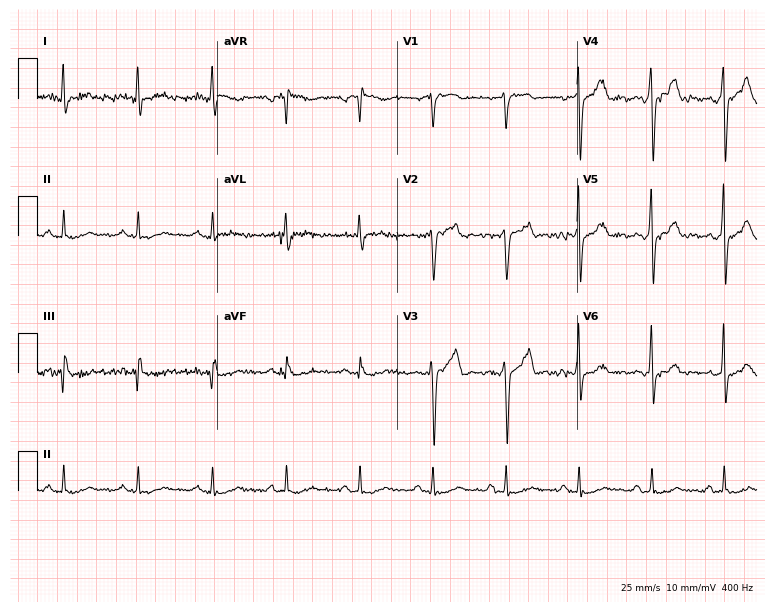
12-lead ECG from a male patient, 48 years old. No first-degree AV block, right bundle branch block, left bundle branch block, sinus bradycardia, atrial fibrillation or sinus tachycardia recorded for this tracing. Findings outside these six are not listed.